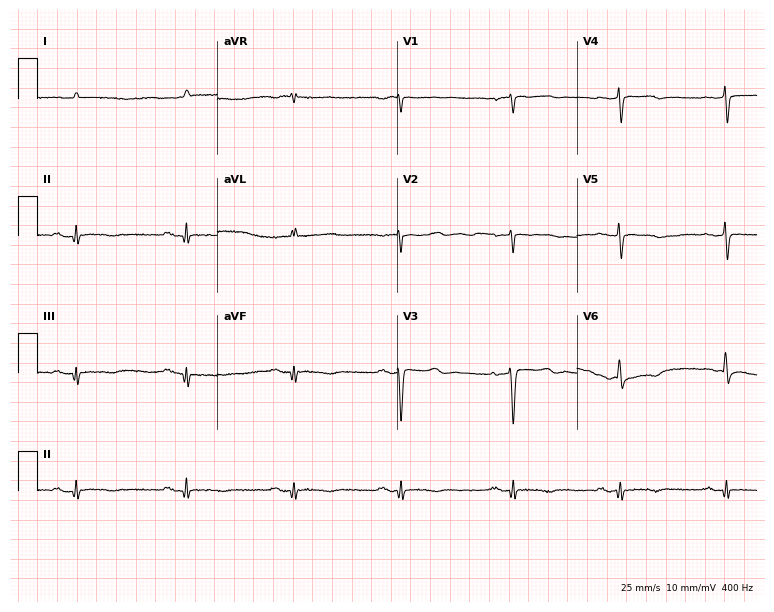
12-lead ECG from a female, 84 years old. Screened for six findings — first-degree AV block, right bundle branch block, left bundle branch block, sinus bradycardia, atrial fibrillation, sinus tachycardia — none is recorded.